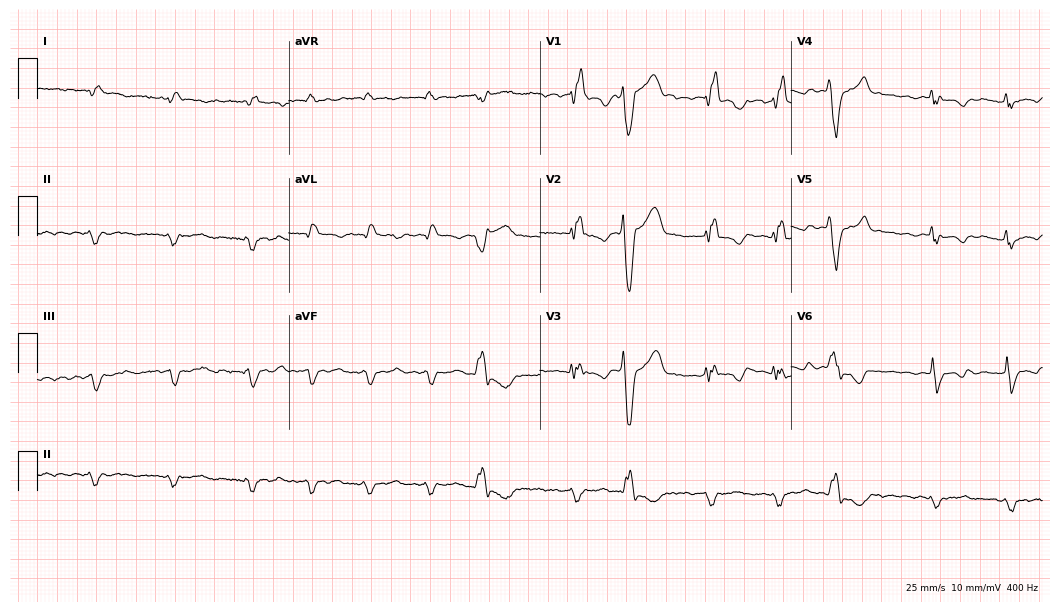
Electrocardiogram, a male, 24 years old. Of the six screened findings (first-degree AV block, right bundle branch block (RBBB), left bundle branch block (LBBB), sinus bradycardia, atrial fibrillation (AF), sinus tachycardia), none is recorded. Findings outside these six are not listed.